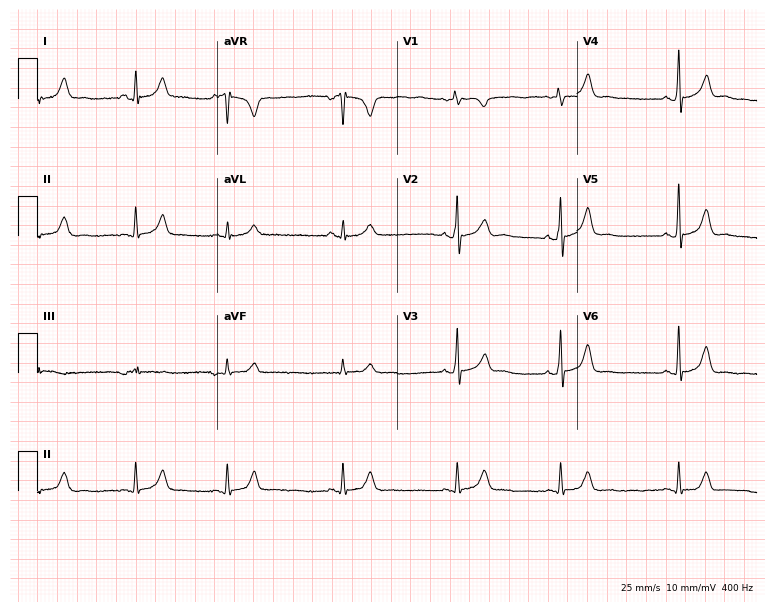
Resting 12-lead electrocardiogram (7.3-second recording at 400 Hz). Patient: a man, 21 years old. Read as a normal ECG.